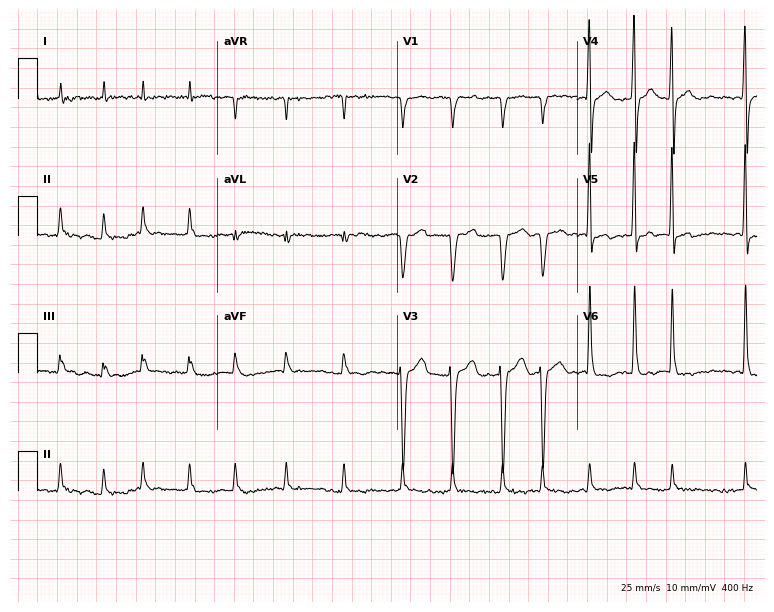
Resting 12-lead electrocardiogram (7.3-second recording at 400 Hz). Patient: a 69-year-old man. The tracing shows atrial fibrillation.